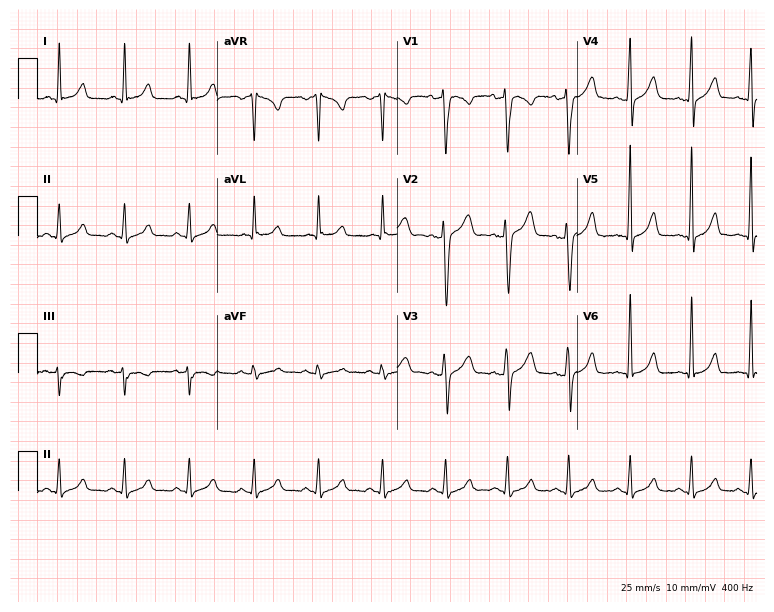
12-lead ECG from a 31-year-old man (7.3-second recording at 400 Hz). Recorded interpretation: within normal limits.